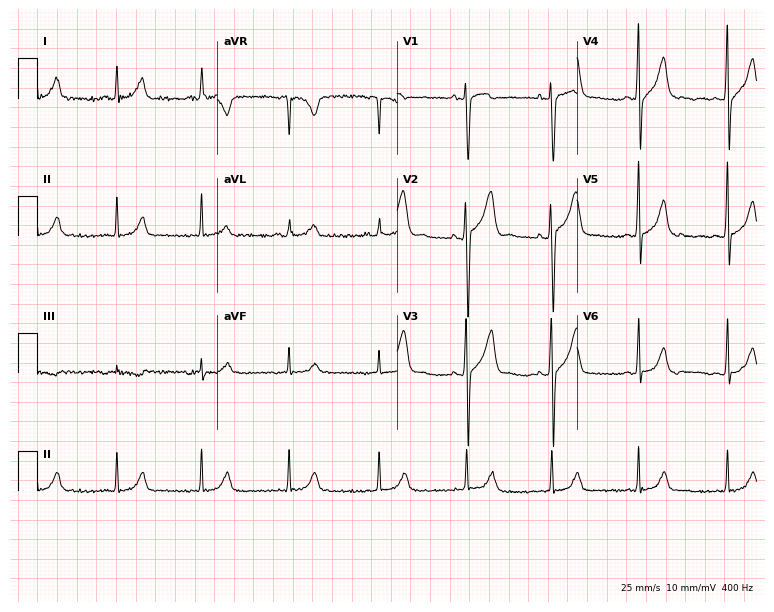
Resting 12-lead electrocardiogram (7.3-second recording at 400 Hz). Patient: a female, 27 years old. None of these six findings is recorded: first-degree AV block, right bundle branch block, left bundle branch block, sinus bradycardia, atrial fibrillation, sinus tachycardia.